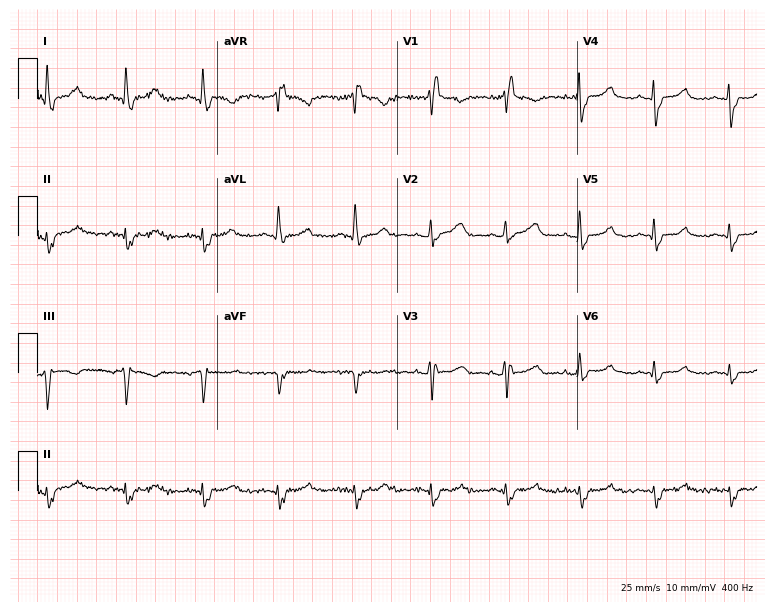
12-lead ECG (7.3-second recording at 400 Hz) from a 77-year-old female. Findings include right bundle branch block (RBBB).